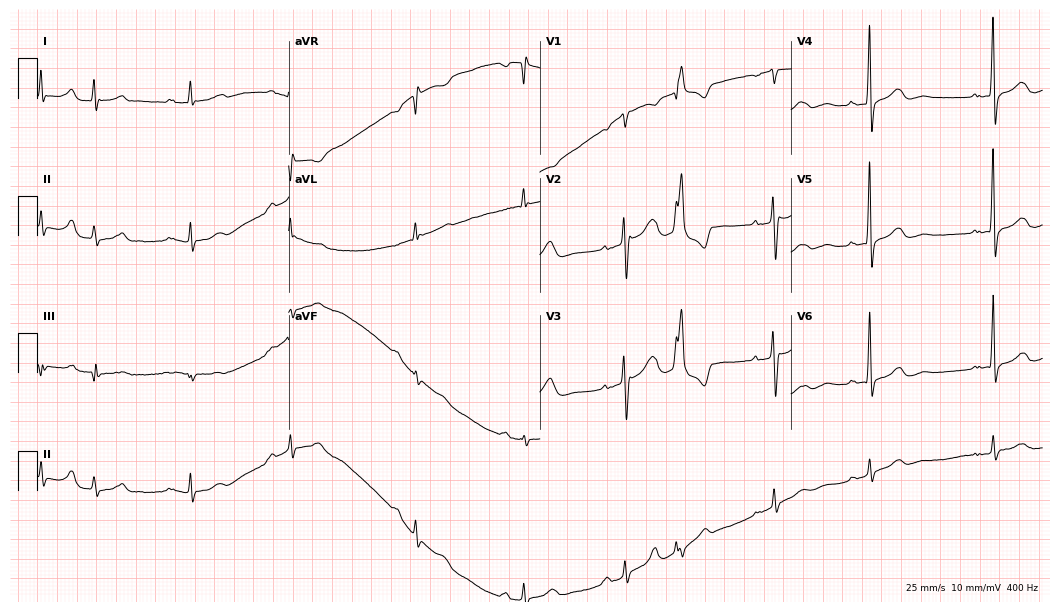
12-lead ECG from a man, 49 years old. Recorded interpretation: within normal limits.